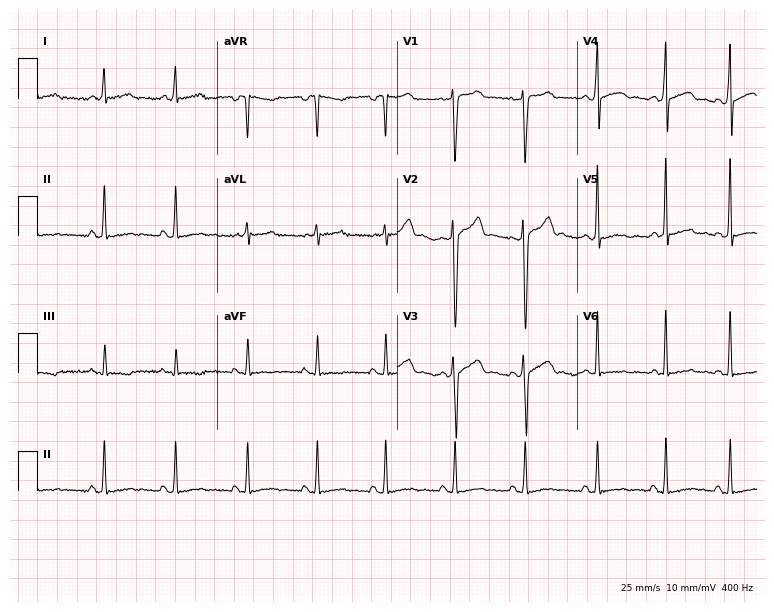
12-lead ECG from a 37-year-old male. No first-degree AV block, right bundle branch block (RBBB), left bundle branch block (LBBB), sinus bradycardia, atrial fibrillation (AF) or sinus tachycardia recorded for this tracing. Other findings, if any, are not listed.